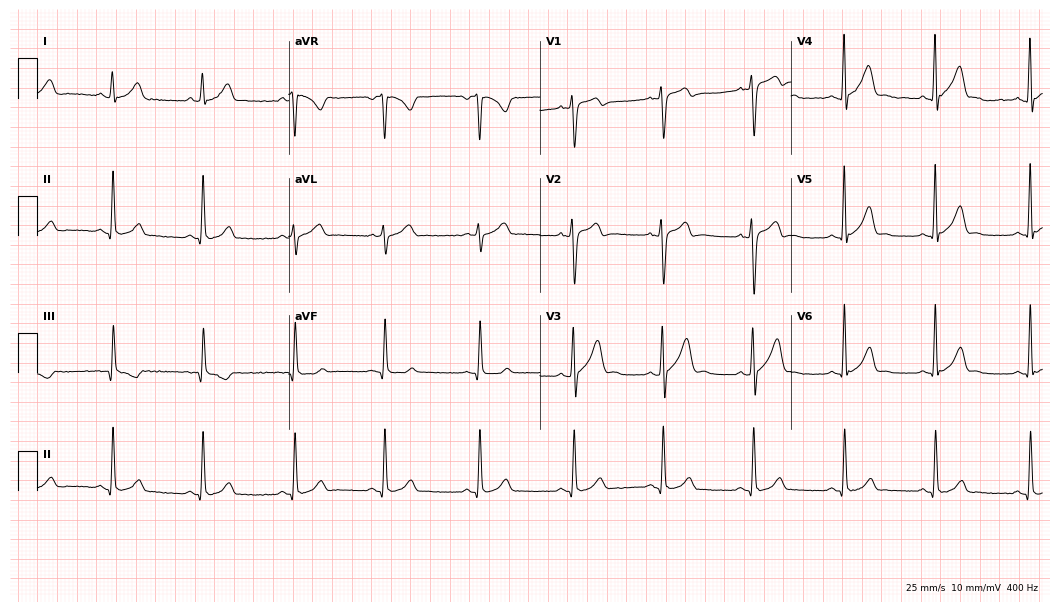
ECG (10.2-second recording at 400 Hz) — a 29-year-old male. Screened for six findings — first-degree AV block, right bundle branch block, left bundle branch block, sinus bradycardia, atrial fibrillation, sinus tachycardia — none is recorded.